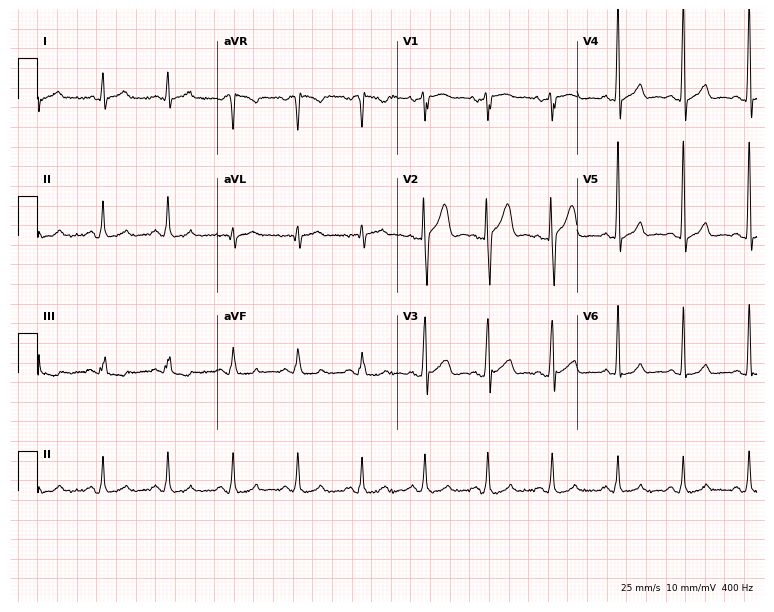
12-lead ECG from a male, 33 years old (7.3-second recording at 400 Hz). No first-degree AV block, right bundle branch block (RBBB), left bundle branch block (LBBB), sinus bradycardia, atrial fibrillation (AF) or sinus tachycardia recorded for this tracing. Findings outside these six are not listed.